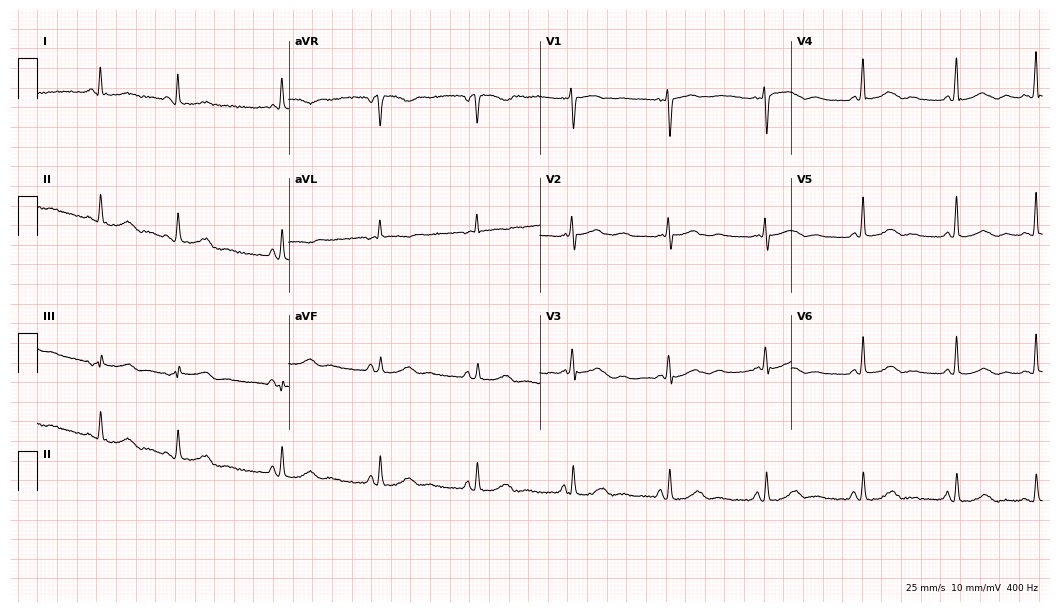
Resting 12-lead electrocardiogram. Patient: a 59-year-old woman. None of these six findings is recorded: first-degree AV block, right bundle branch block, left bundle branch block, sinus bradycardia, atrial fibrillation, sinus tachycardia. Only these six findings were labelled.